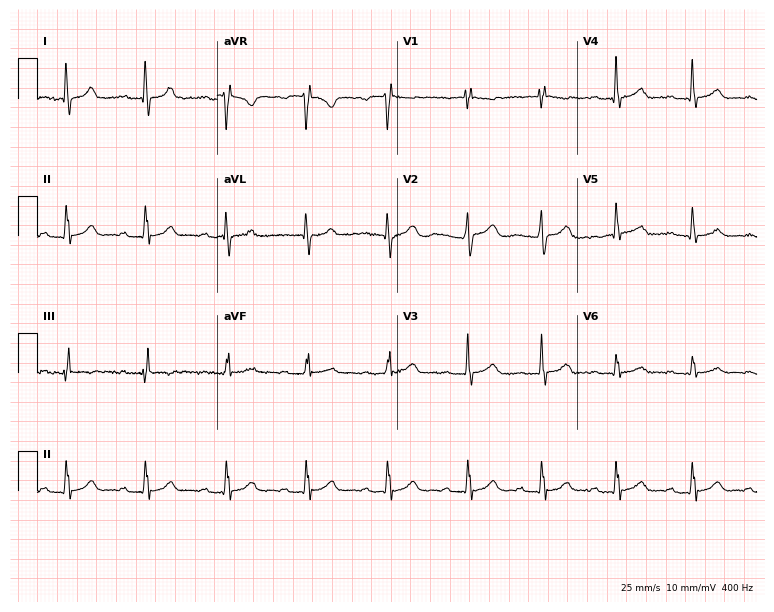
12-lead ECG (7.3-second recording at 400 Hz) from a 36-year-old female. Screened for six findings — first-degree AV block, right bundle branch block, left bundle branch block, sinus bradycardia, atrial fibrillation, sinus tachycardia — none is recorded.